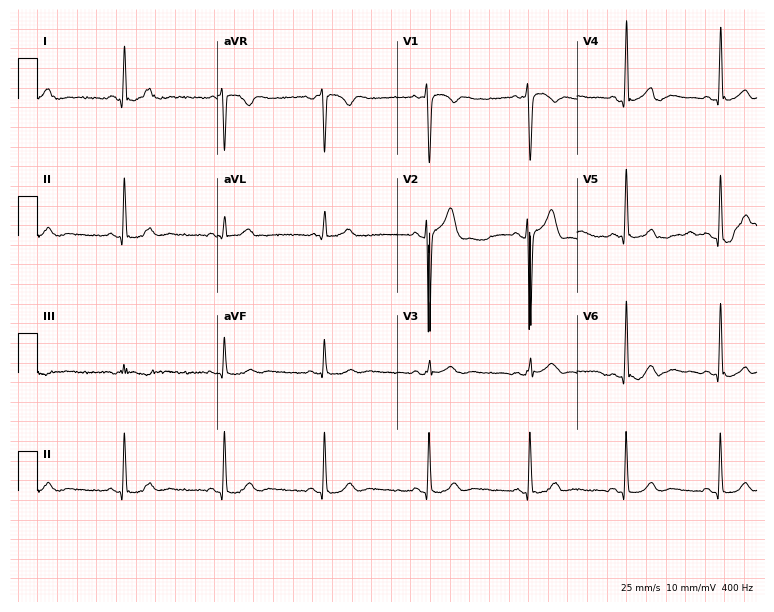
Resting 12-lead electrocardiogram. Patient: a male, 34 years old. Read as a normal ECG.